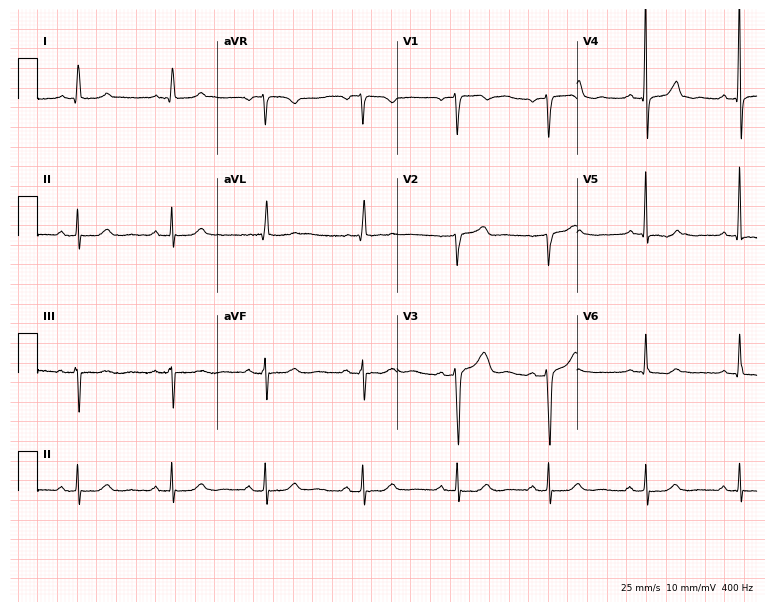
ECG — a female patient, 57 years old. Screened for six findings — first-degree AV block, right bundle branch block, left bundle branch block, sinus bradycardia, atrial fibrillation, sinus tachycardia — none is recorded. Other findings, if any, are not listed.